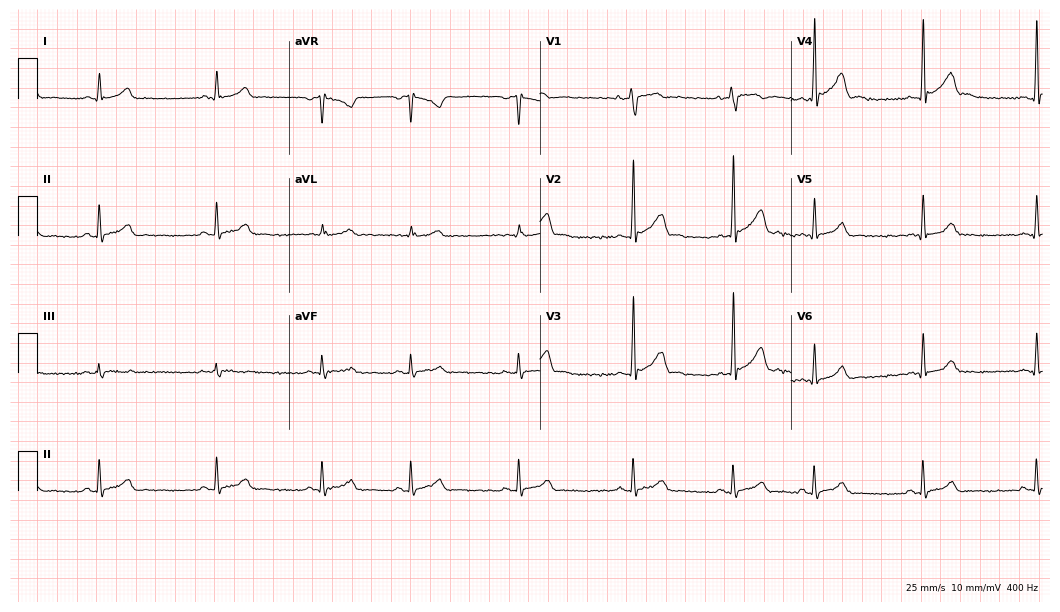
Resting 12-lead electrocardiogram. Patient: a 19-year-old male. Read as a normal ECG.